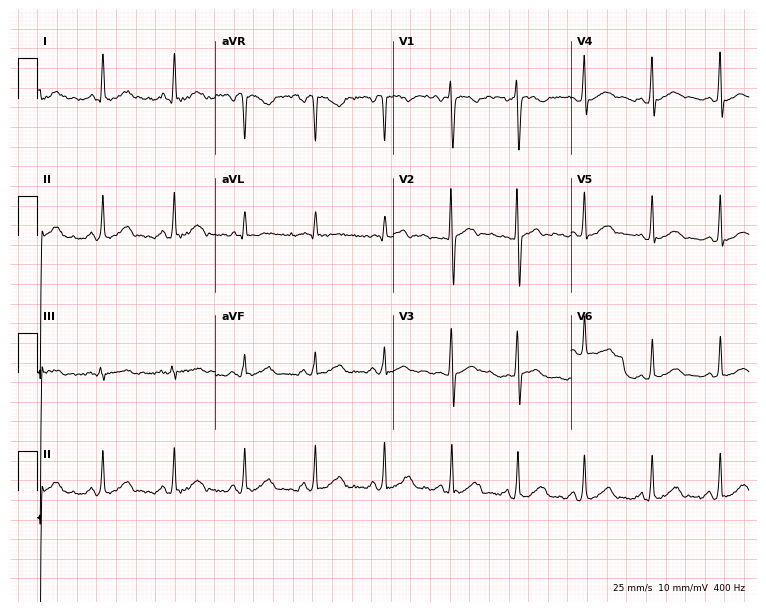
ECG (7.3-second recording at 400 Hz) — a woman, 28 years old. Labelled as a normal ECG.